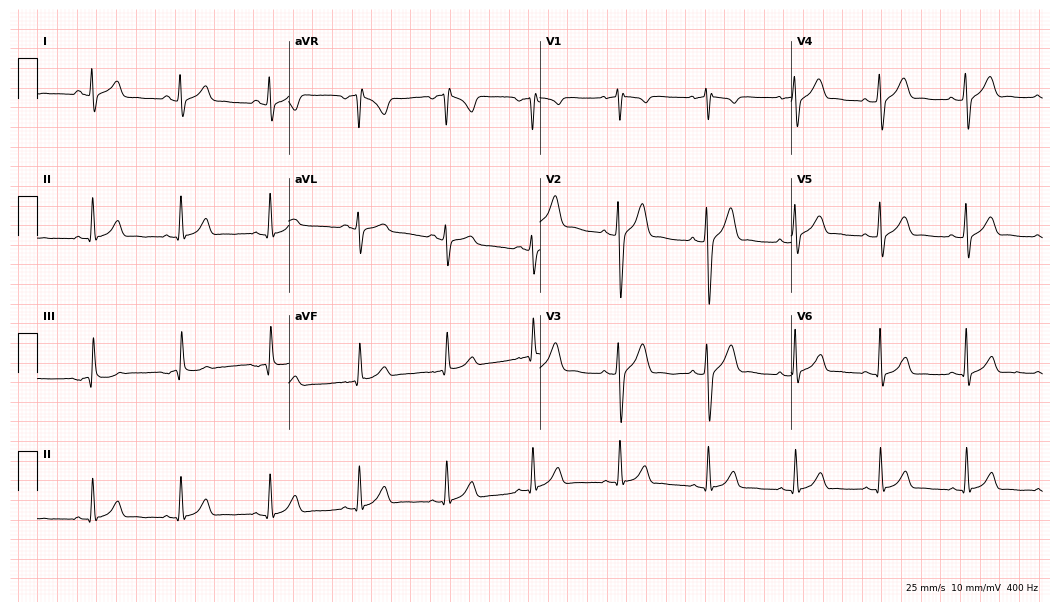
Standard 12-lead ECG recorded from a 32-year-old male (10.2-second recording at 400 Hz). None of these six findings is recorded: first-degree AV block, right bundle branch block (RBBB), left bundle branch block (LBBB), sinus bradycardia, atrial fibrillation (AF), sinus tachycardia. Findings outside these six are not listed.